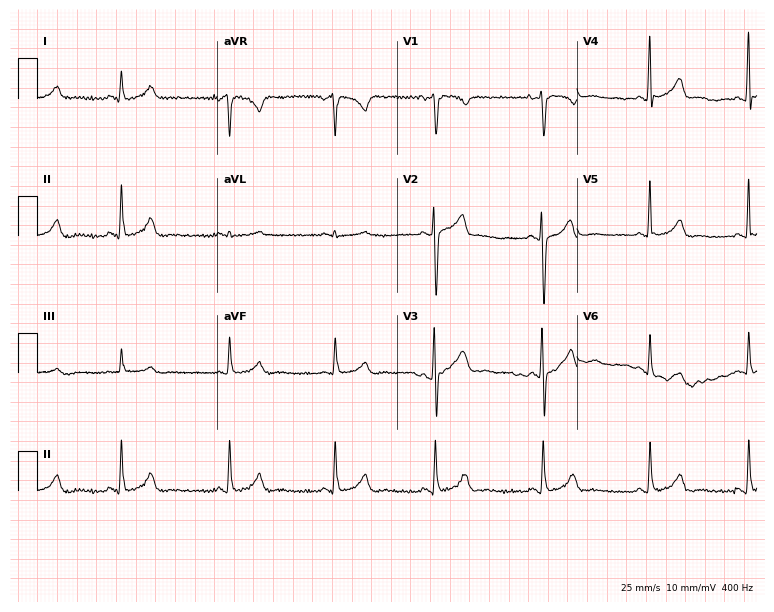
Standard 12-lead ECG recorded from a female patient, 29 years old (7.3-second recording at 400 Hz). Read as a normal ECG.